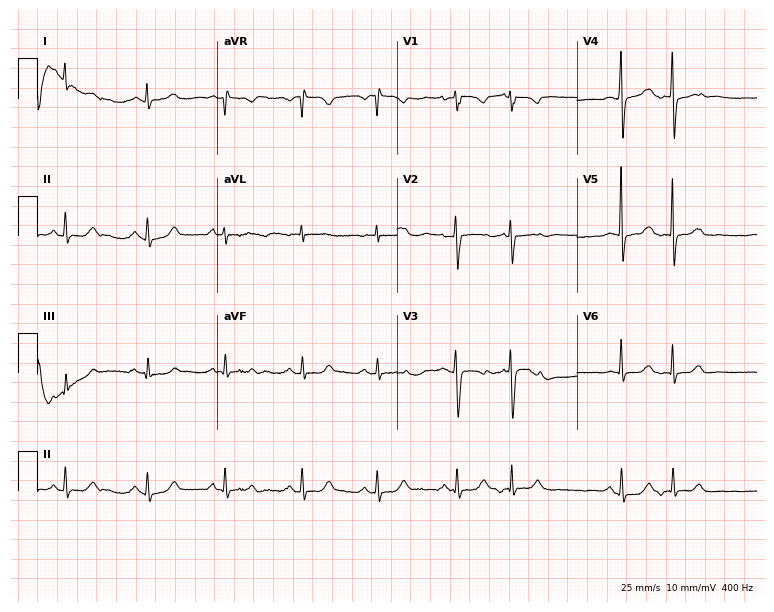
Standard 12-lead ECG recorded from a female patient, 55 years old (7.3-second recording at 400 Hz). None of these six findings is recorded: first-degree AV block, right bundle branch block (RBBB), left bundle branch block (LBBB), sinus bradycardia, atrial fibrillation (AF), sinus tachycardia.